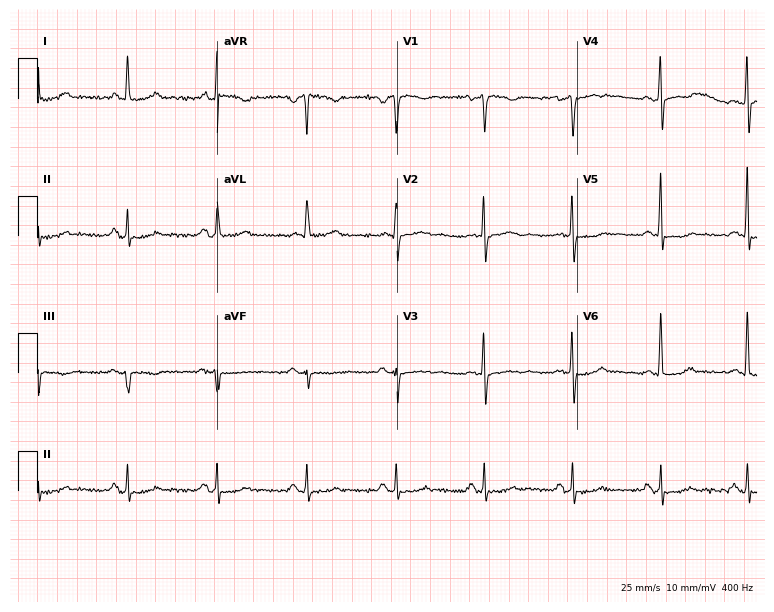
ECG (7.3-second recording at 400 Hz) — a female patient, 59 years old. Labelled as a normal ECG.